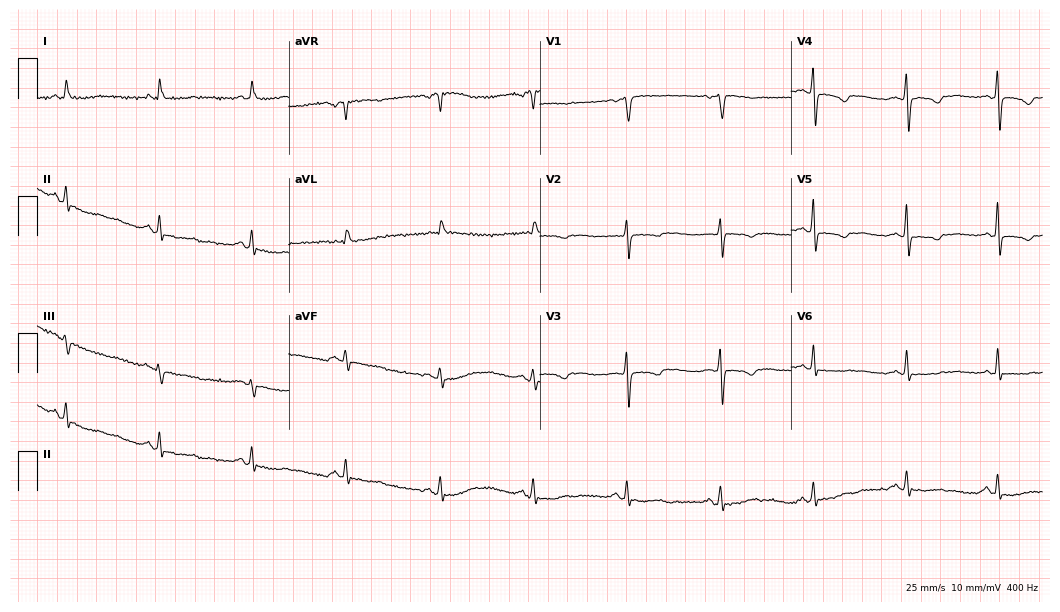
Electrocardiogram, a 75-year-old female. Of the six screened findings (first-degree AV block, right bundle branch block (RBBB), left bundle branch block (LBBB), sinus bradycardia, atrial fibrillation (AF), sinus tachycardia), none is recorded. Only these six findings were labelled.